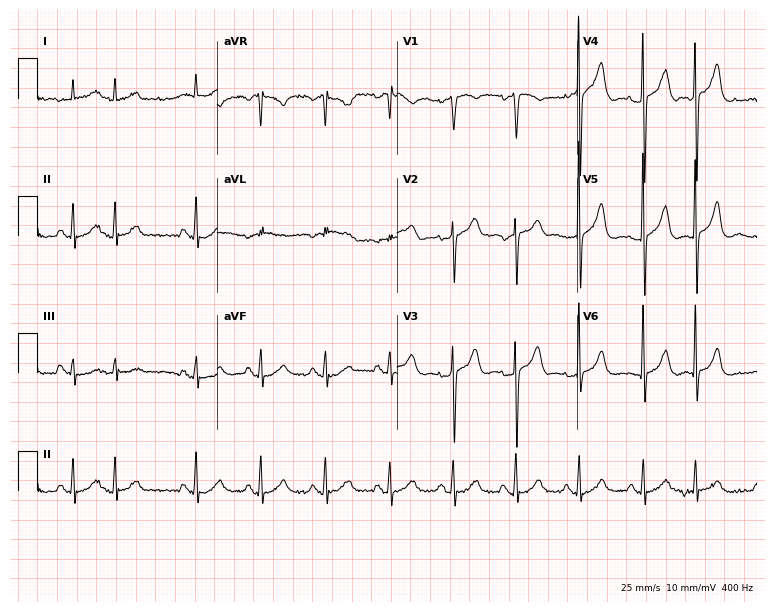
ECG — an 83-year-old male. Screened for six findings — first-degree AV block, right bundle branch block, left bundle branch block, sinus bradycardia, atrial fibrillation, sinus tachycardia — none is recorded. Other findings, if any, are not listed.